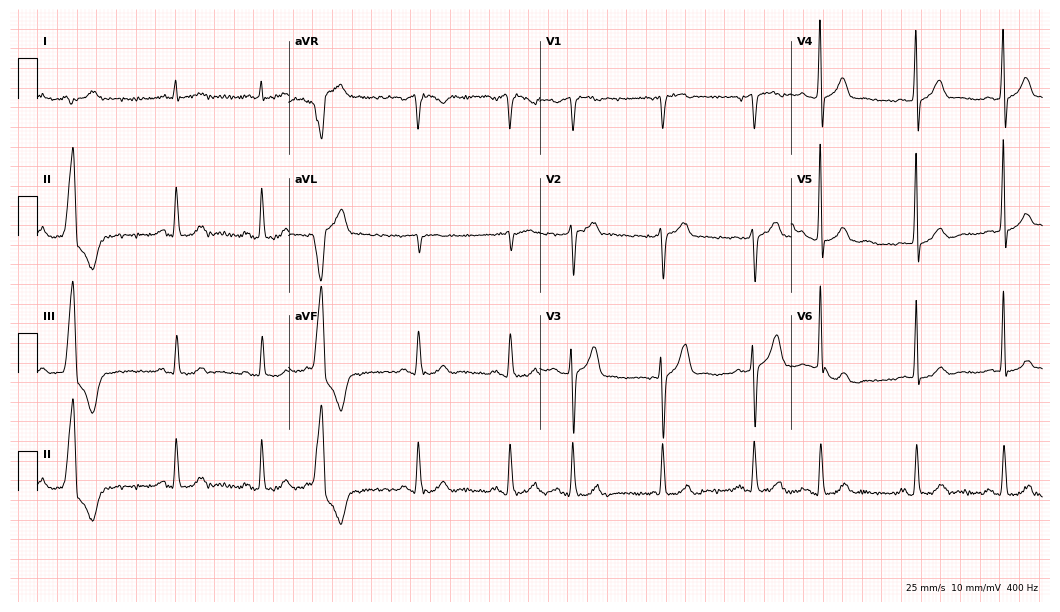
Standard 12-lead ECG recorded from an 80-year-old female (10.2-second recording at 400 Hz). Read as a normal ECG.